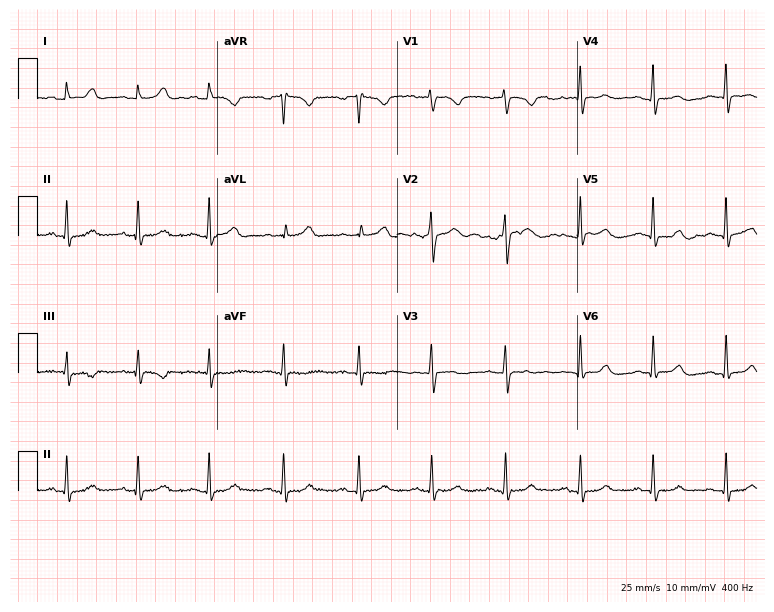
ECG (7.3-second recording at 400 Hz) — a 23-year-old female. Labelled as a normal ECG.